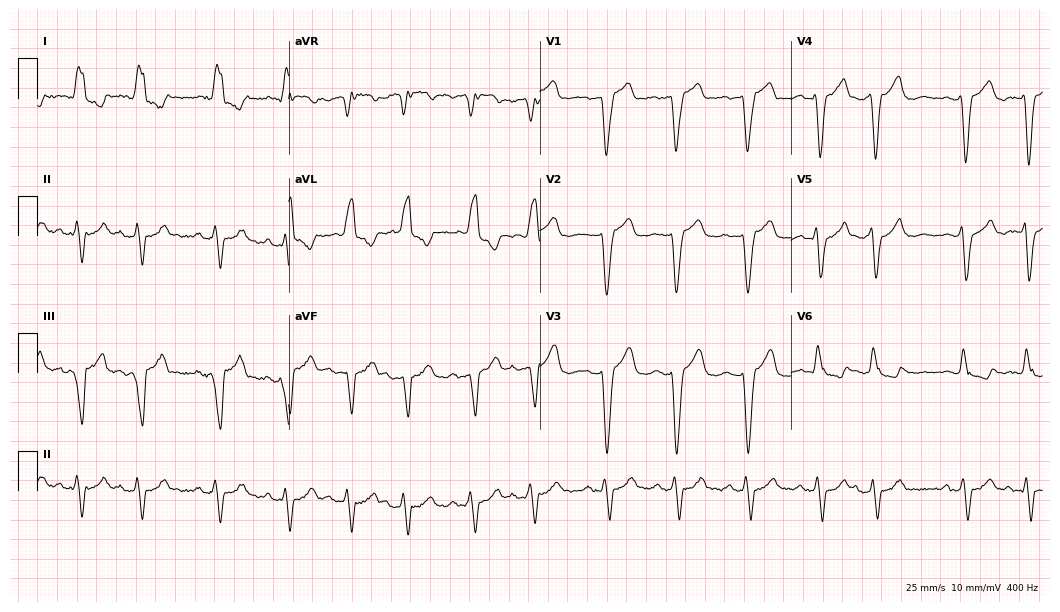
Resting 12-lead electrocardiogram (10.2-second recording at 400 Hz). Patient: a female, 74 years old. The tracing shows left bundle branch block.